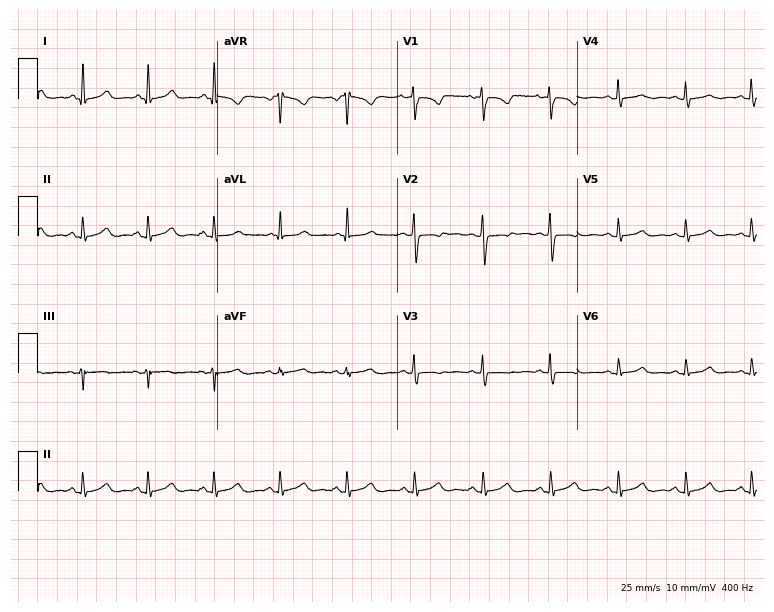
12-lead ECG (7.3-second recording at 400 Hz) from a 46-year-old female. Screened for six findings — first-degree AV block, right bundle branch block, left bundle branch block, sinus bradycardia, atrial fibrillation, sinus tachycardia — none is recorded. Only these six findings were labelled.